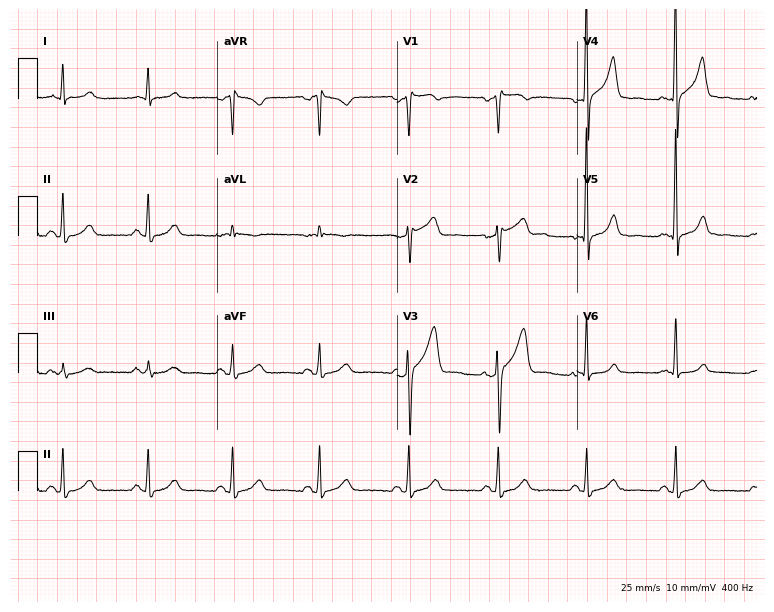
12-lead ECG from a man, 61 years old. Screened for six findings — first-degree AV block, right bundle branch block, left bundle branch block, sinus bradycardia, atrial fibrillation, sinus tachycardia — none is recorded. Other findings, if any, are not listed.